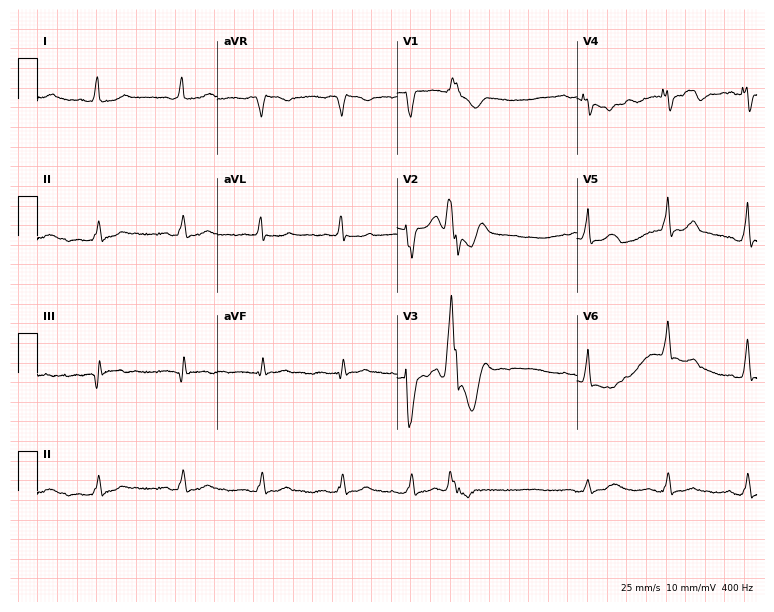
Standard 12-lead ECG recorded from a male, 70 years old (7.3-second recording at 400 Hz). None of these six findings is recorded: first-degree AV block, right bundle branch block, left bundle branch block, sinus bradycardia, atrial fibrillation, sinus tachycardia. Other findings, if any, are not listed.